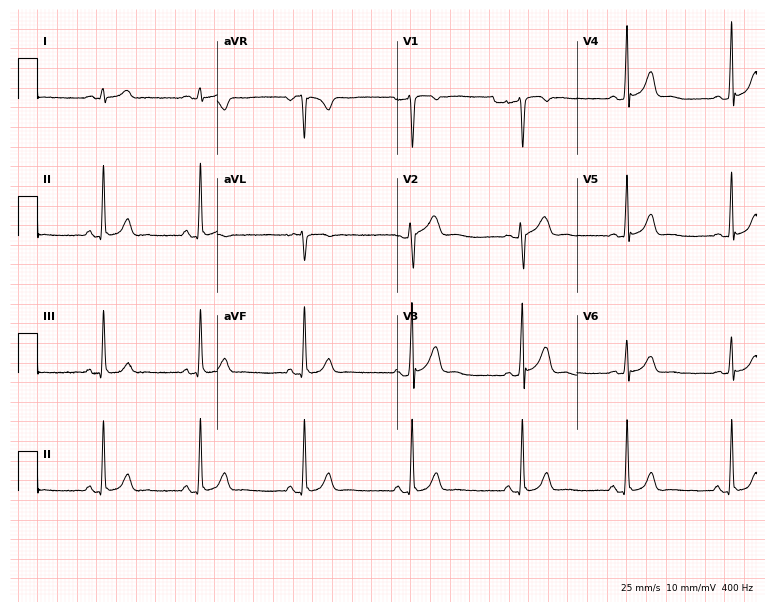
12-lead ECG (7.3-second recording at 400 Hz) from a 32-year-old man. Labelled as a normal ECG.